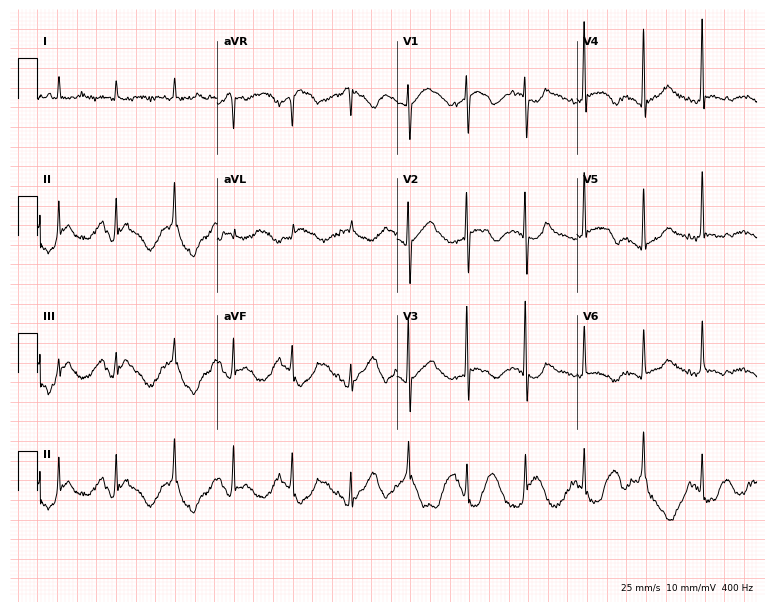
Electrocardiogram (7.3-second recording at 400 Hz), a 64-year-old female. Of the six screened findings (first-degree AV block, right bundle branch block (RBBB), left bundle branch block (LBBB), sinus bradycardia, atrial fibrillation (AF), sinus tachycardia), none is recorded. Findings outside these six are not listed.